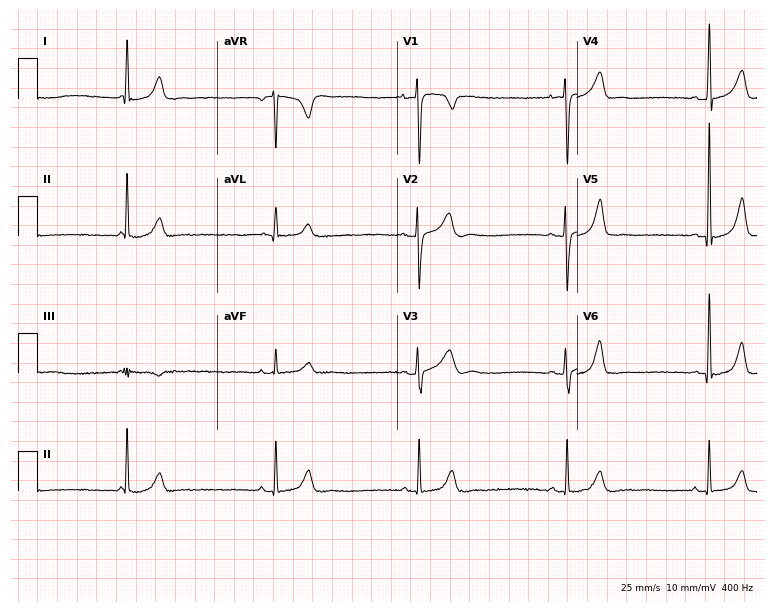
Electrocardiogram (7.3-second recording at 400 Hz), a 40-year-old woman. Of the six screened findings (first-degree AV block, right bundle branch block (RBBB), left bundle branch block (LBBB), sinus bradycardia, atrial fibrillation (AF), sinus tachycardia), none is recorded.